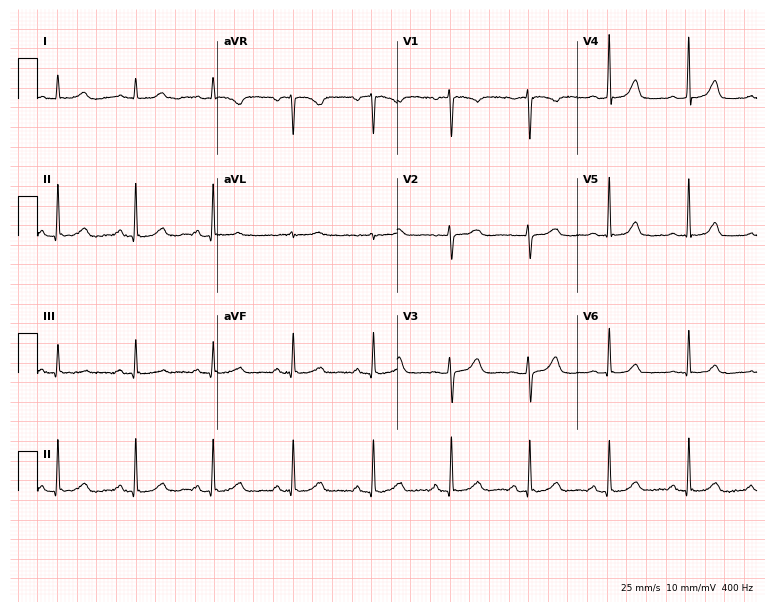
12-lead ECG from a female patient, 44 years old. Labelled as a normal ECG.